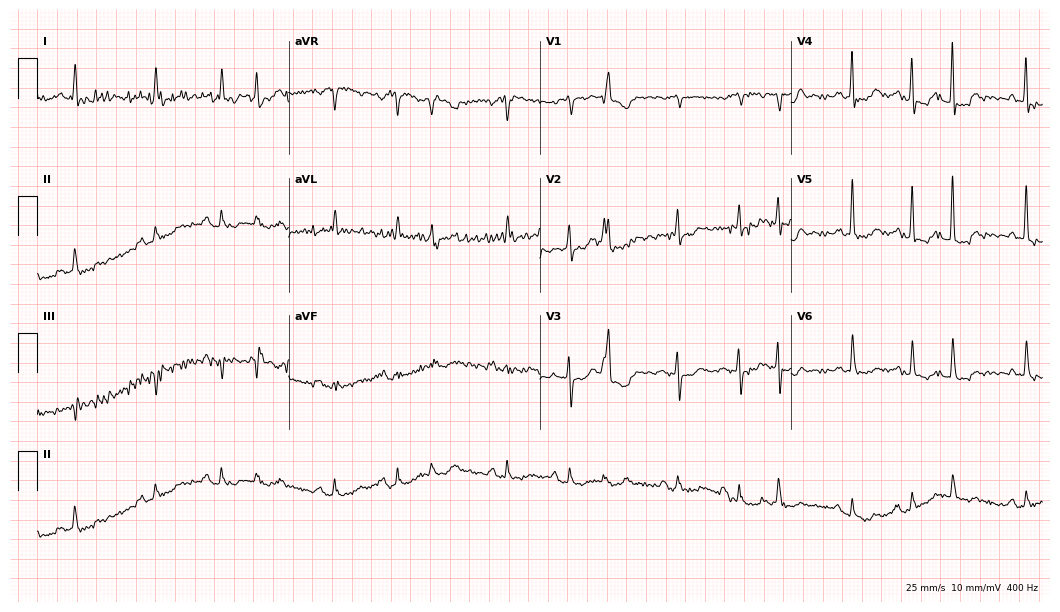
12-lead ECG from an 84-year-old female patient (10.2-second recording at 400 Hz). No first-degree AV block, right bundle branch block, left bundle branch block, sinus bradycardia, atrial fibrillation or sinus tachycardia recorded for this tracing. Other findings, if any, are not listed.